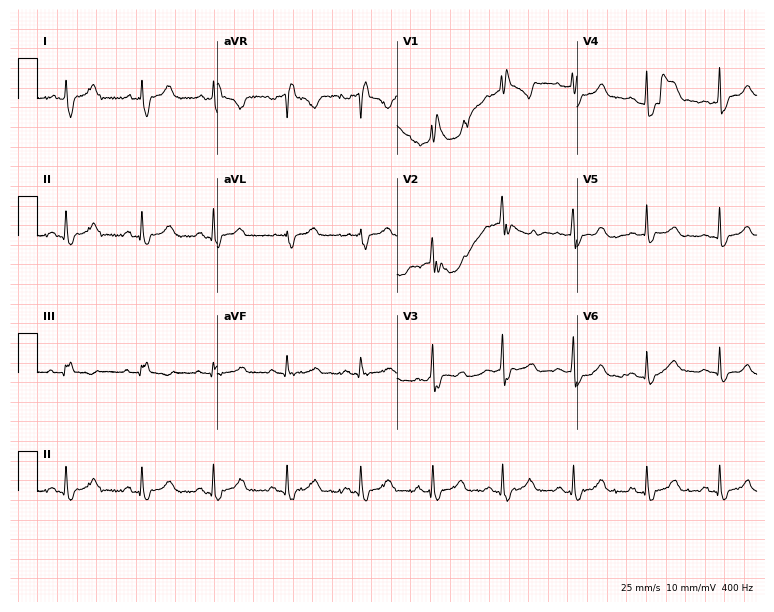
Electrocardiogram, a female patient, 26 years old. Interpretation includes right bundle branch block.